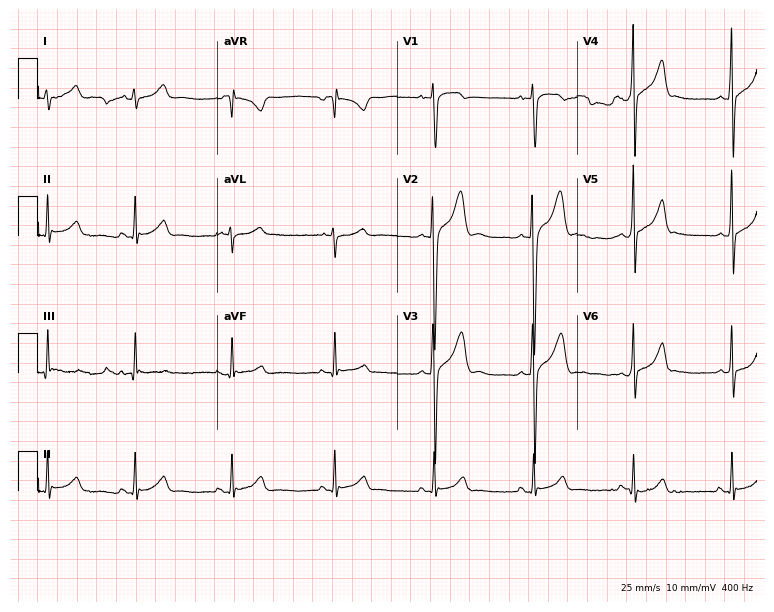
Resting 12-lead electrocardiogram. Patient: a 26-year-old male. None of these six findings is recorded: first-degree AV block, right bundle branch block, left bundle branch block, sinus bradycardia, atrial fibrillation, sinus tachycardia. Findings outside these six are not listed.